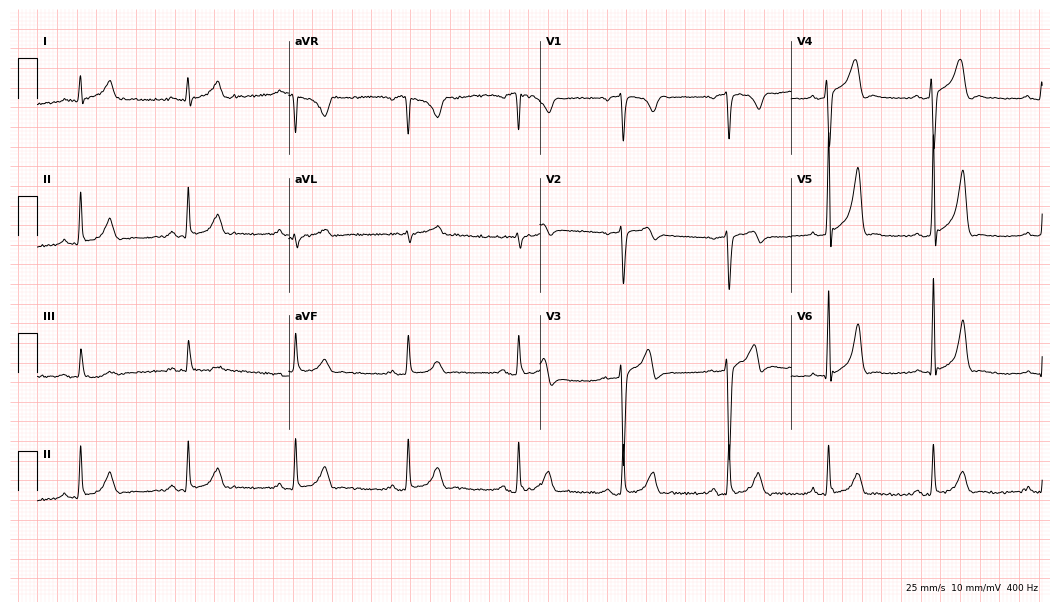
12-lead ECG (10.2-second recording at 400 Hz) from a male, 27 years old. Screened for six findings — first-degree AV block, right bundle branch block, left bundle branch block, sinus bradycardia, atrial fibrillation, sinus tachycardia — none is recorded.